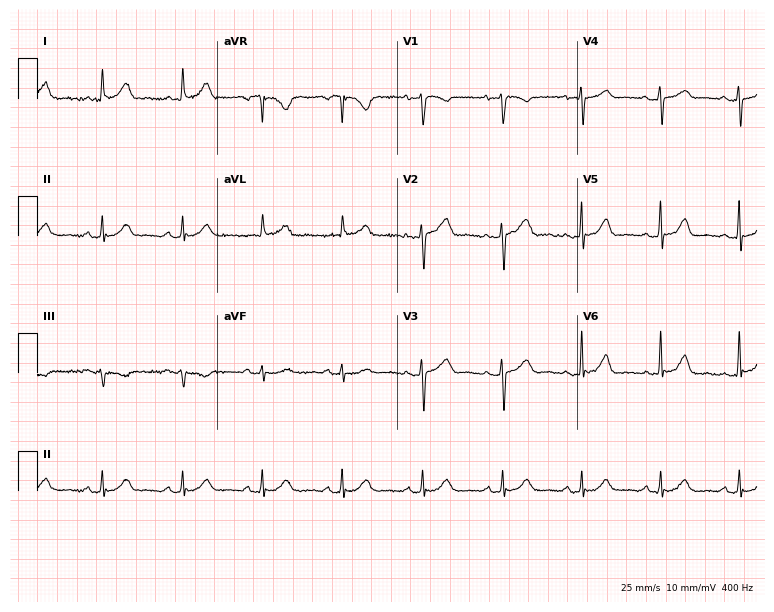
12-lead ECG from a 67-year-old female patient. Recorded interpretation: within normal limits.